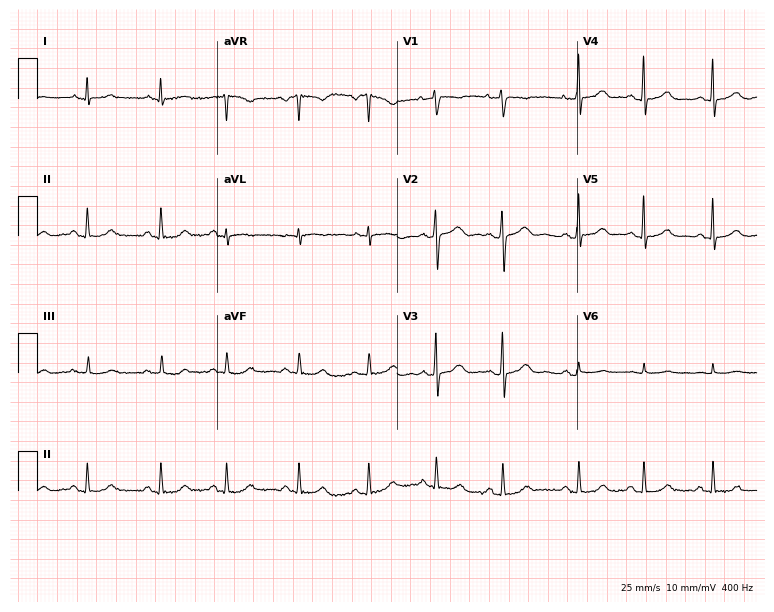
ECG — a 53-year-old female. Labelled as a normal ECG.